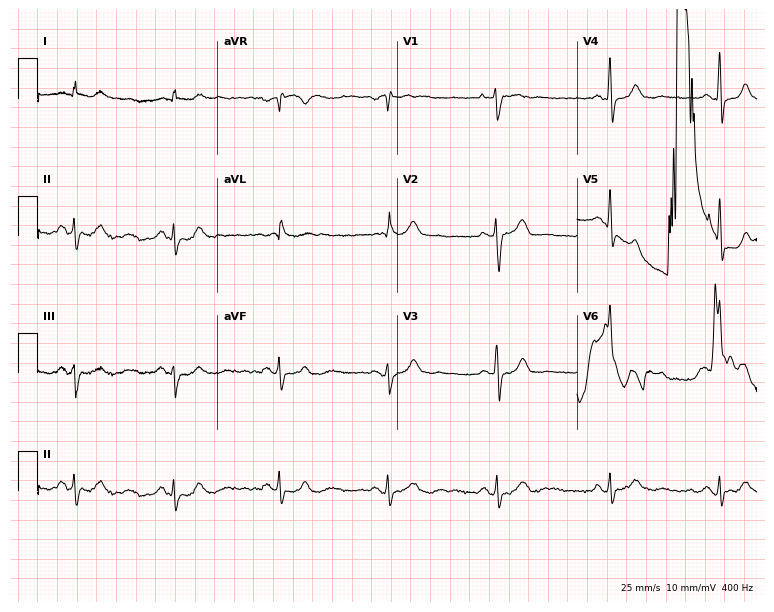
Resting 12-lead electrocardiogram (7.3-second recording at 400 Hz). Patient: a female, 58 years old. None of these six findings is recorded: first-degree AV block, right bundle branch block, left bundle branch block, sinus bradycardia, atrial fibrillation, sinus tachycardia. Findings outside these six are not listed.